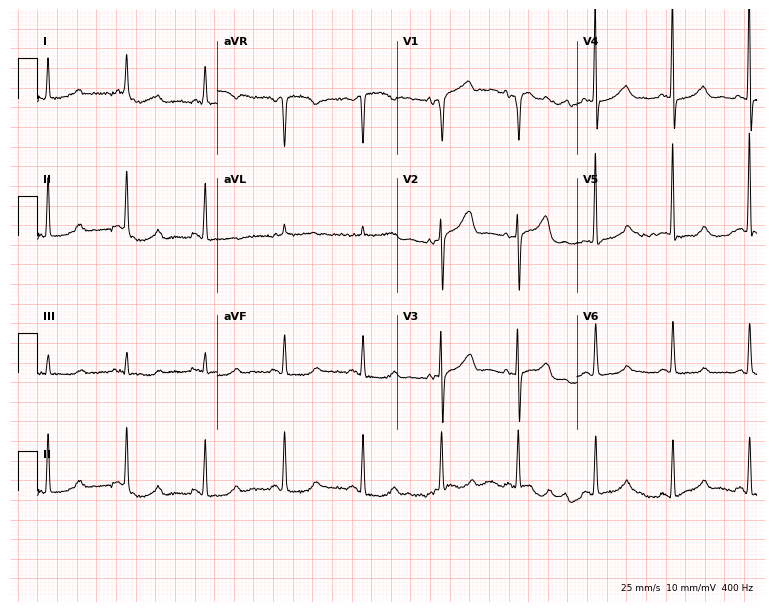
Standard 12-lead ECG recorded from a woman, 83 years old (7.3-second recording at 400 Hz). None of these six findings is recorded: first-degree AV block, right bundle branch block (RBBB), left bundle branch block (LBBB), sinus bradycardia, atrial fibrillation (AF), sinus tachycardia. Only these six findings were labelled.